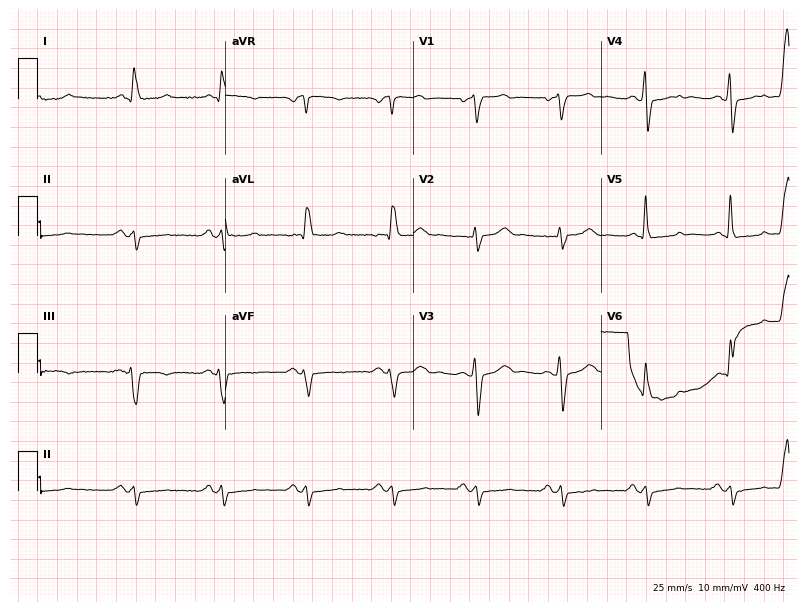
Electrocardiogram, an 81-year-old man. Of the six screened findings (first-degree AV block, right bundle branch block (RBBB), left bundle branch block (LBBB), sinus bradycardia, atrial fibrillation (AF), sinus tachycardia), none is recorded. Other findings, if any, are not listed.